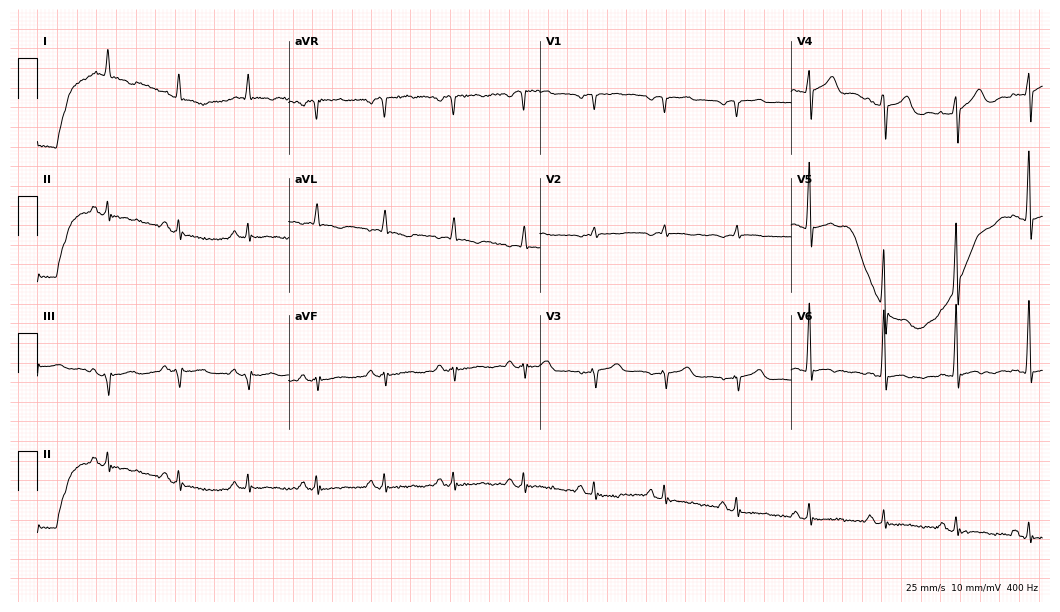
Electrocardiogram, a man, 62 years old. Of the six screened findings (first-degree AV block, right bundle branch block, left bundle branch block, sinus bradycardia, atrial fibrillation, sinus tachycardia), none is recorded. Other findings, if any, are not listed.